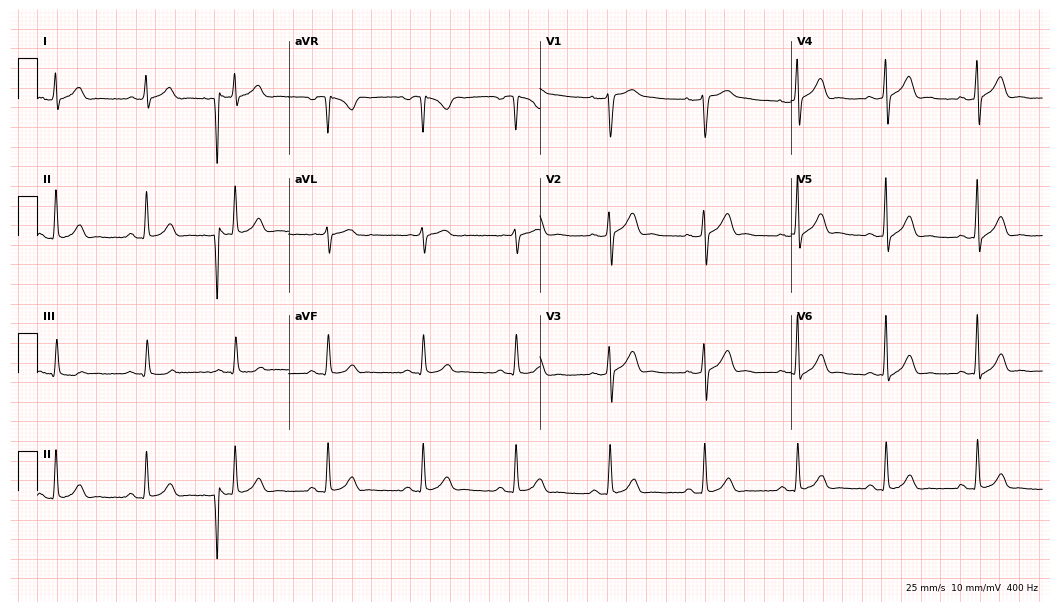
ECG (10.2-second recording at 400 Hz) — a male patient, 40 years old. Labelled as a normal ECG.